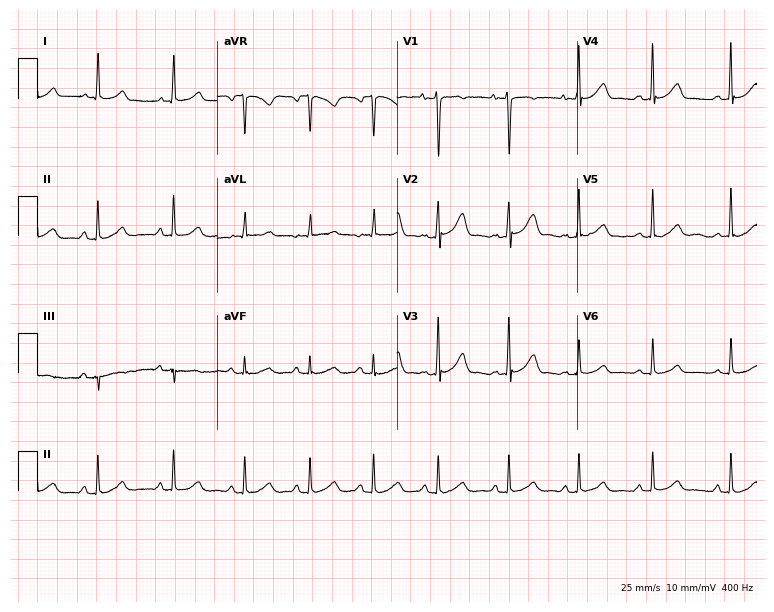
Standard 12-lead ECG recorded from a 28-year-old woman (7.3-second recording at 400 Hz). None of these six findings is recorded: first-degree AV block, right bundle branch block, left bundle branch block, sinus bradycardia, atrial fibrillation, sinus tachycardia. Other findings, if any, are not listed.